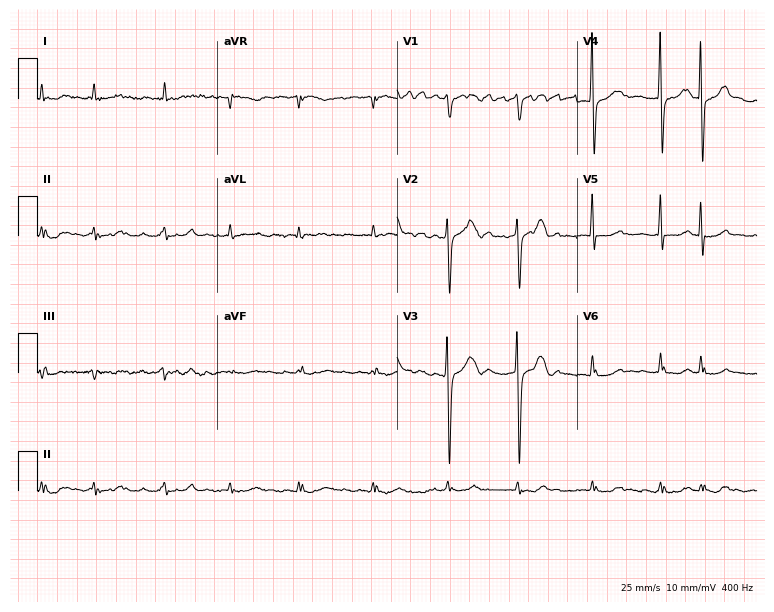
Standard 12-lead ECG recorded from a 74-year-old man (7.3-second recording at 400 Hz). The tracing shows atrial fibrillation.